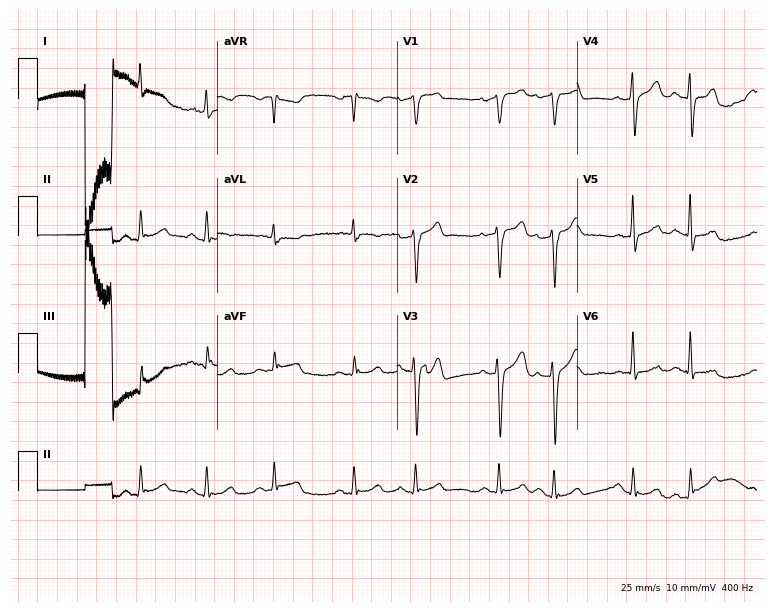
12-lead ECG from a 76-year-old male patient. Screened for six findings — first-degree AV block, right bundle branch block, left bundle branch block, sinus bradycardia, atrial fibrillation, sinus tachycardia — none is recorded.